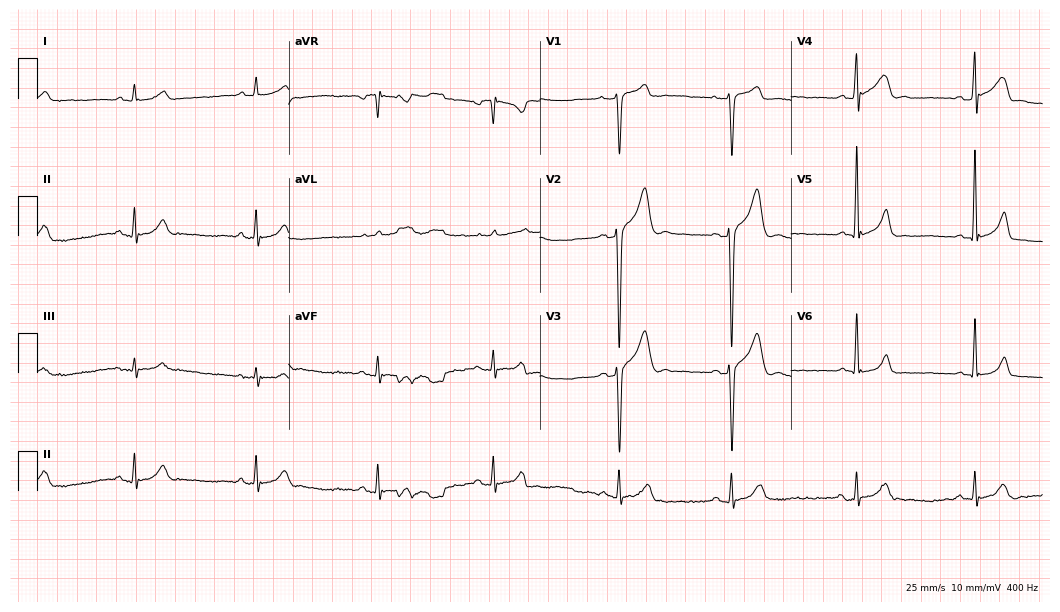
Resting 12-lead electrocardiogram. Patient: a 21-year-old male. None of these six findings is recorded: first-degree AV block, right bundle branch block, left bundle branch block, sinus bradycardia, atrial fibrillation, sinus tachycardia. Only these six findings were labelled.